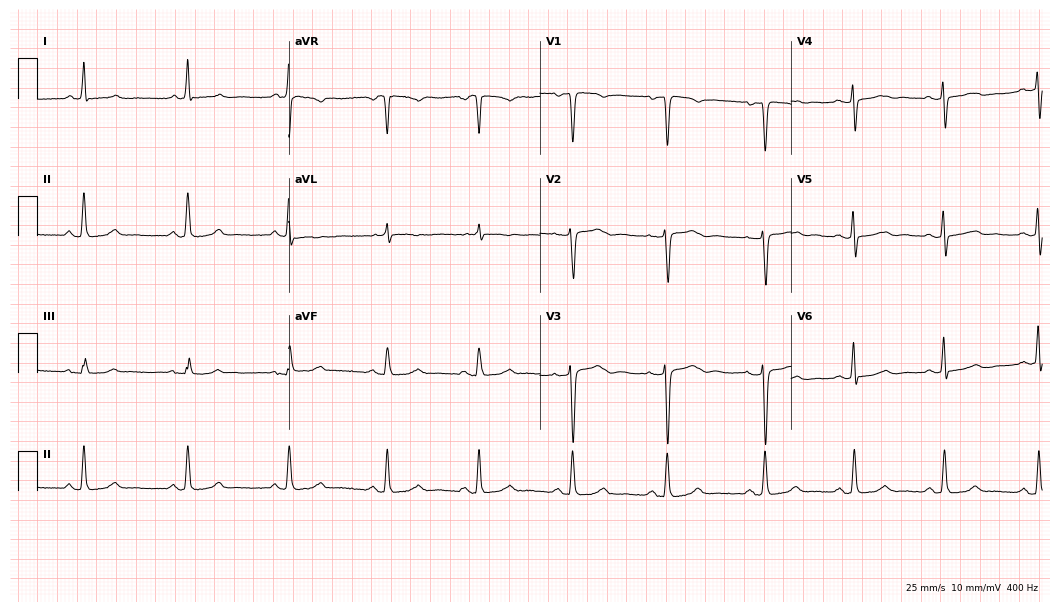
ECG — a 47-year-old woman. Screened for six findings — first-degree AV block, right bundle branch block (RBBB), left bundle branch block (LBBB), sinus bradycardia, atrial fibrillation (AF), sinus tachycardia — none is recorded. Other findings, if any, are not listed.